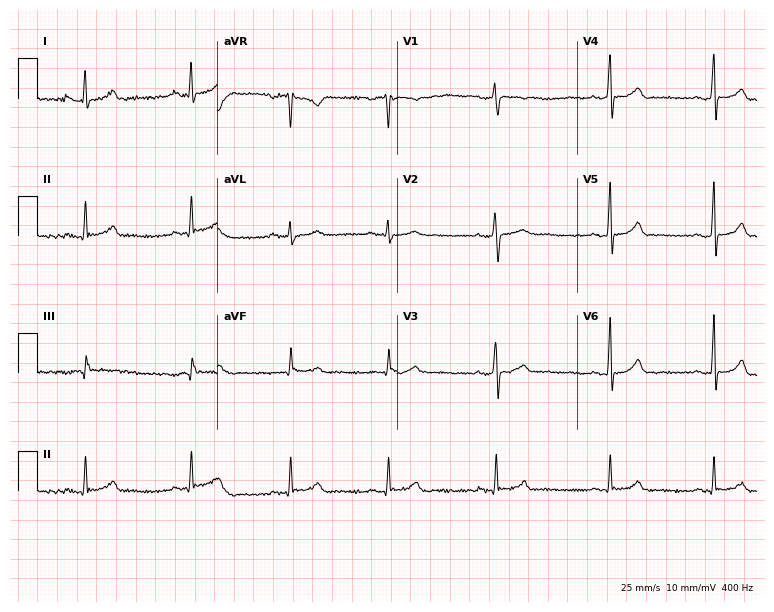
Resting 12-lead electrocardiogram (7.3-second recording at 400 Hz). Patient: a 45-year-old woman. Read as a normal ECG.